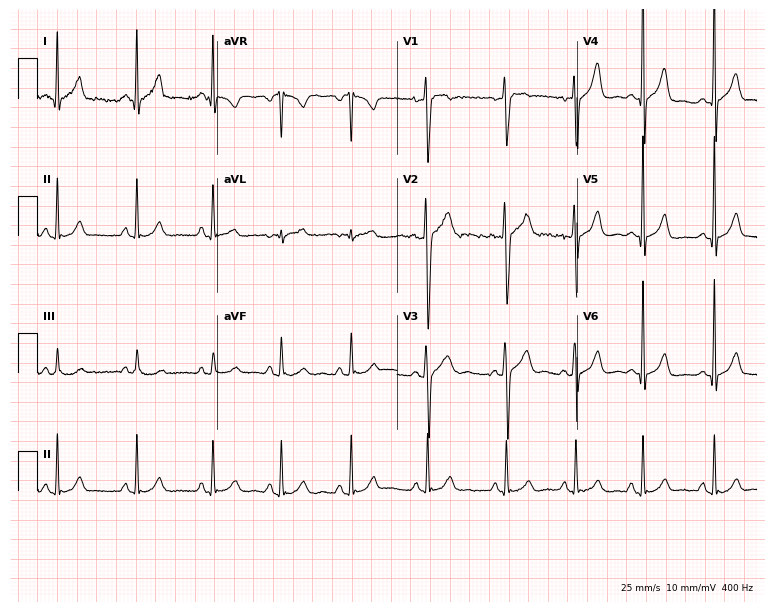
Resting 12-lead electrocardiogram (7.3-second recording at 400 Hz). Patient: a man, 21 years old. Read as a normal ECG.